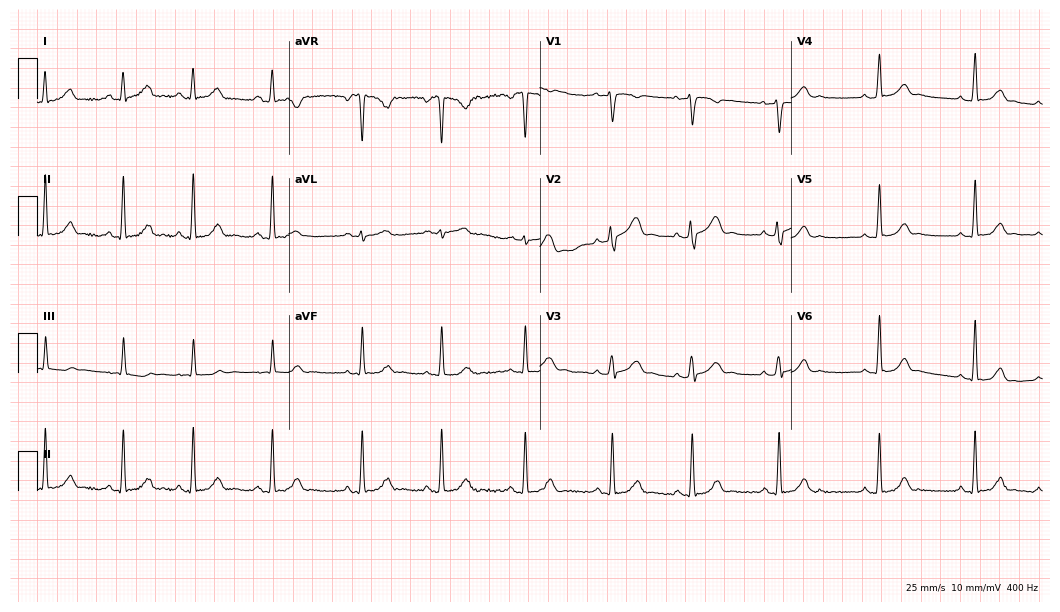
Electrocardiogram (10.2-second recording at 400 Hz), a woman, 22 years old. Overall reading on record: normal ECG.